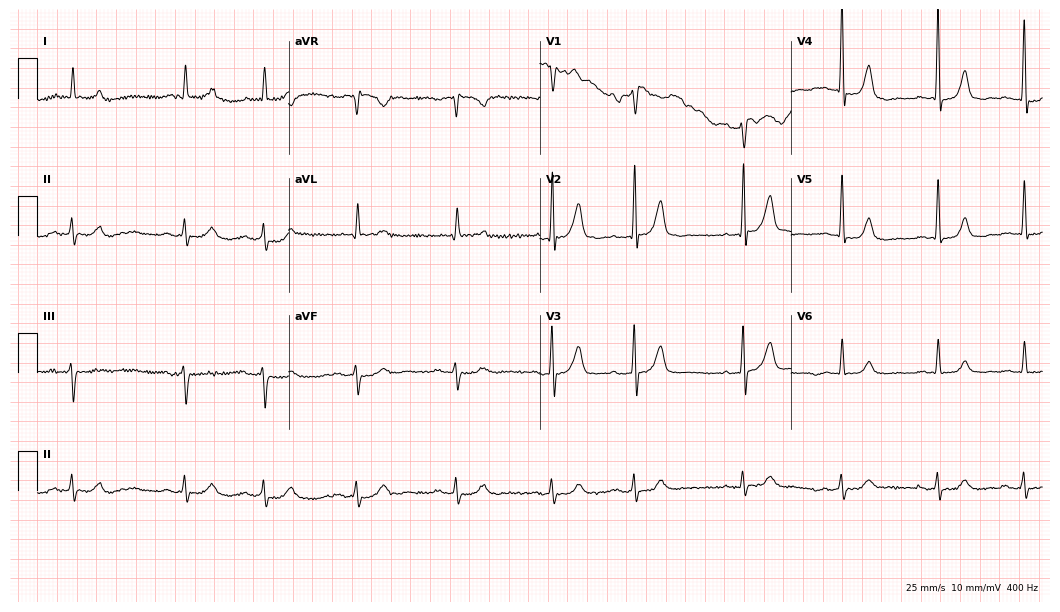
12-lead ECG (10.2-second recording at 400 Hz) from a 75-year-old male. Labelled as a normal ECG.